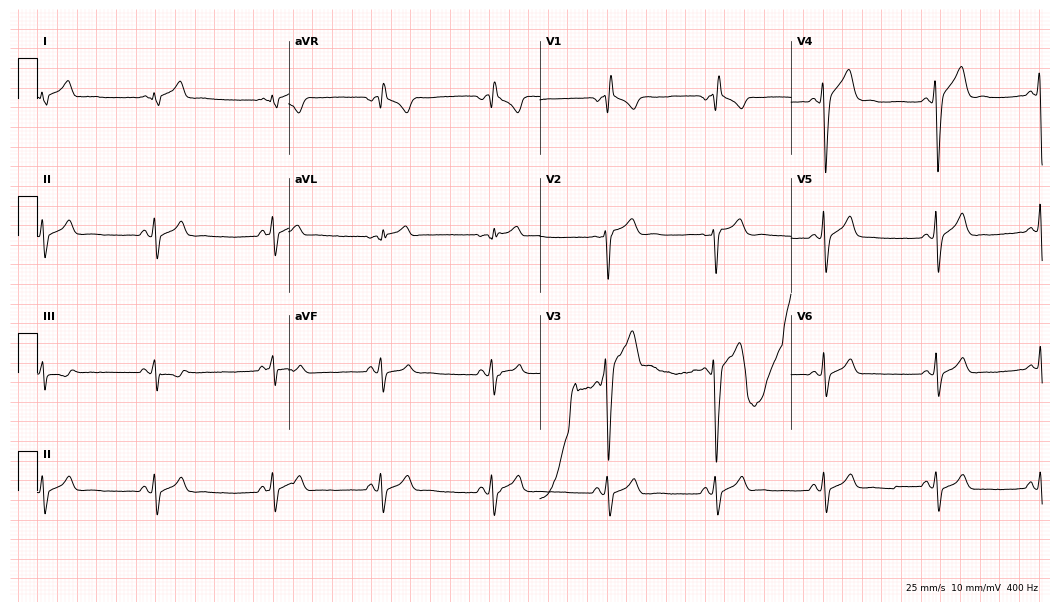
Resting 12-lead electrocardiogram. Patient: a male, 24 years old. None of these six findings is recorded: first-degree AV block, right bundle branch block, left bundle branch block, sinus bradycardia, atrial fibrillation, sinus tachycardia. Other findings, if any, are not listed.